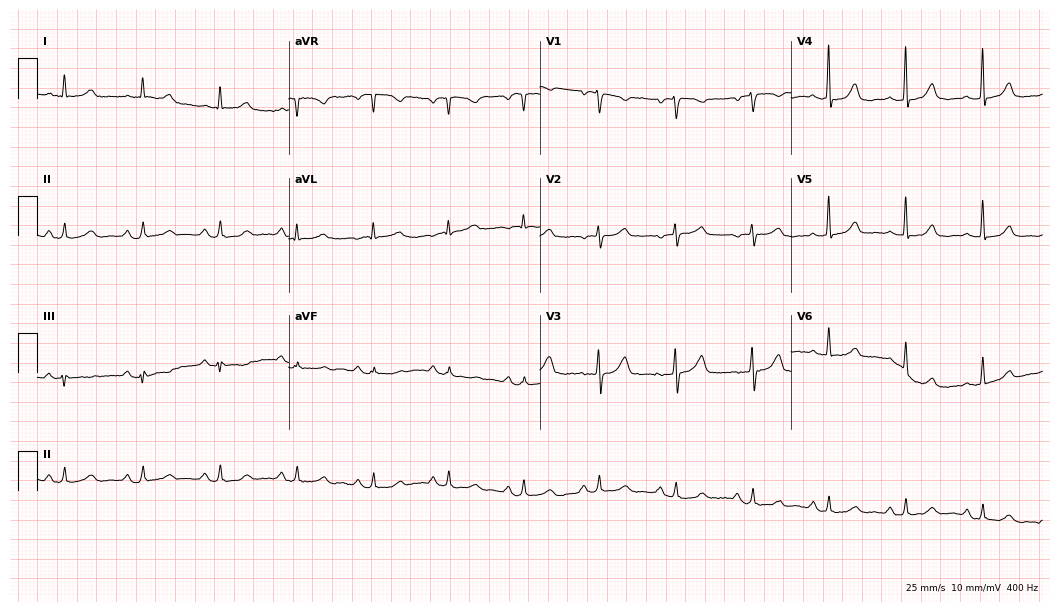
Electrocardiogram (10.2-second recording at 400 Hz), a 73-year-old female patient. Overall reading on record: normal ECG.